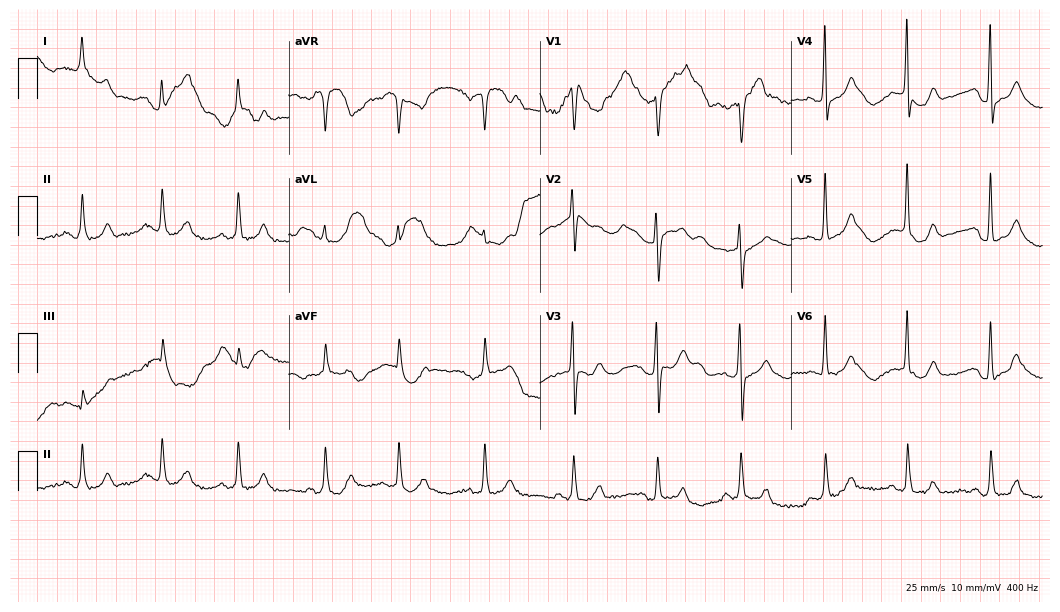
Resting 12-lead electrocardiogram (10.2-second recording at 400 Hz). Patient: a 77-year-old male. None of these six findings is recorded: first-degree AV block, right bundle branch block, left bundle branch block, sinus bradycardia, atrial fibrillation, sinus tachycardia. Other findings, if any, are not listed.